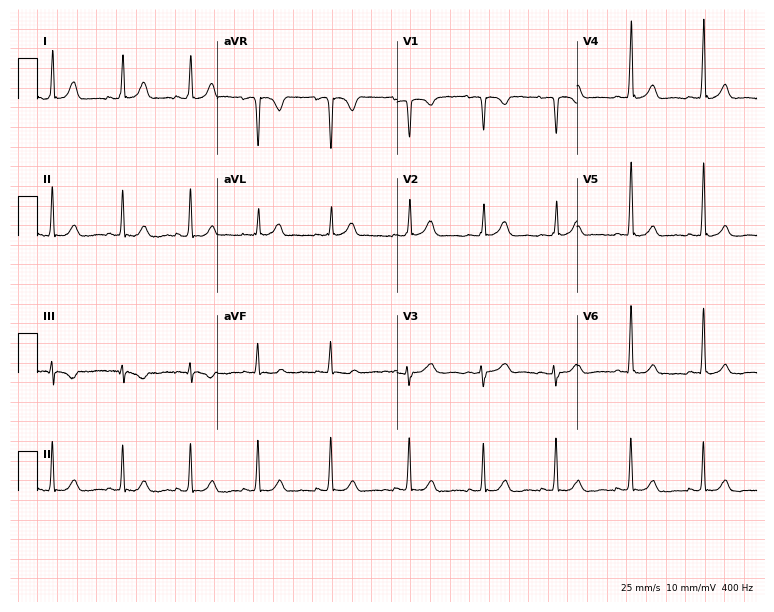
12-lead ECG from a 35-year-old woman (7.3-second recording at 400 Hz). No first-degree AV block, right bundle branch block, left bundle branch block, sinus bradycardia, atrial fibrillation or sinus tachycardia recorded for this tracing.